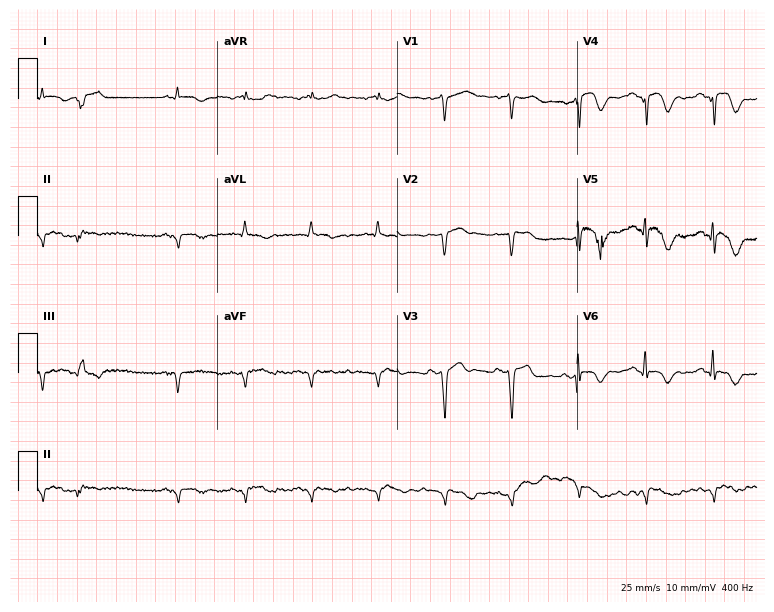
ECG — a male patient, 73 years old. Screened for six findings — first-degree AV block, right bundle branch block, left bundle branch block, sinus bradycardia, atrial fibrillation, sinus tachycardia — none is recorded.